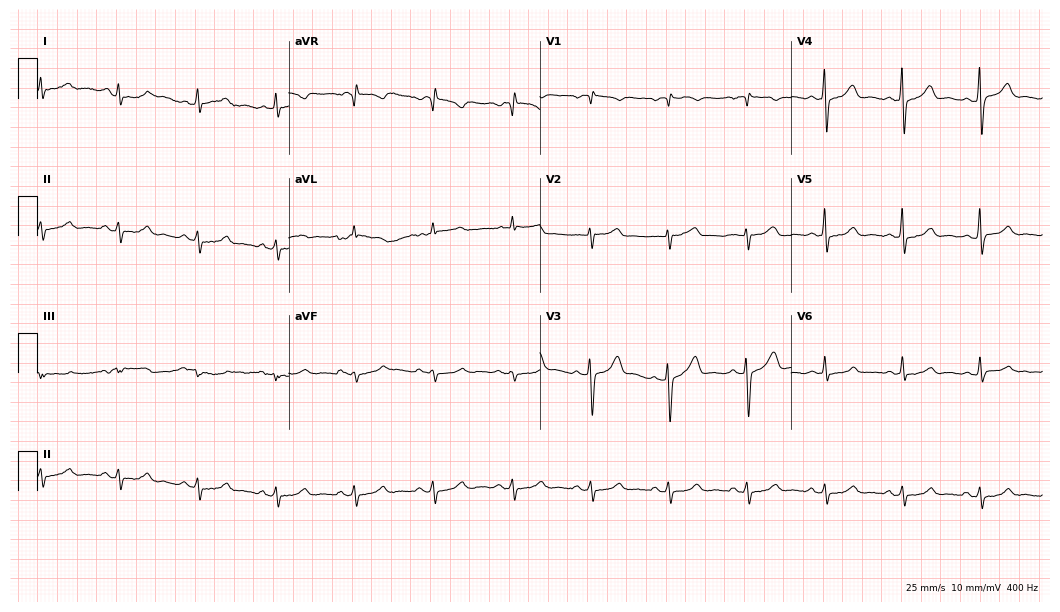
ECG (10.2-second recording at 400 Hz) — a 75-year-old man. Screened for six findings — first-degree AV block, right bundle branch block, left bundle branch block, sinus bradycardia, atrial fibrillation, sinus tachycardia — none is recorded.